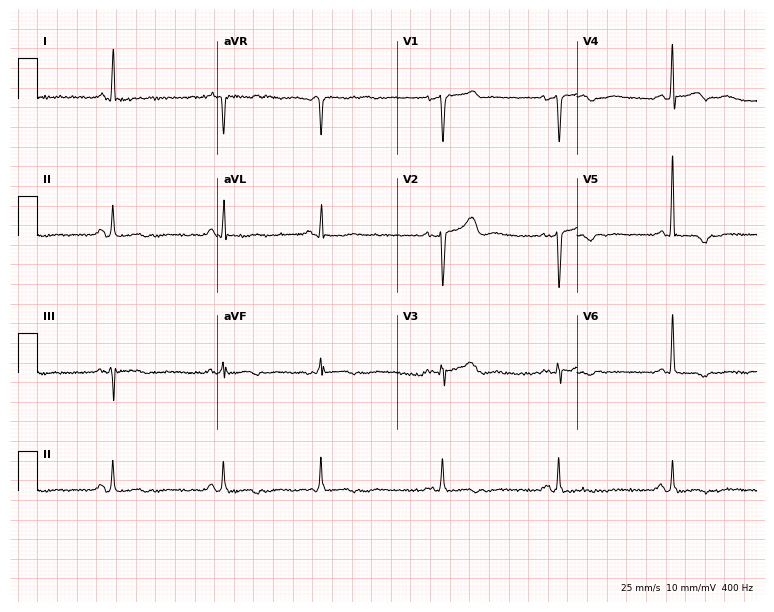
Electrocardiogram (7.3-second recording at 400 Hz), a 75-year-old female. Of the six screened findings (first-degree AV block, right bundle branch block, left bundle branch block, sinus bradycardia, atrial fibrillation, sinus tachycardia), none is recorded.